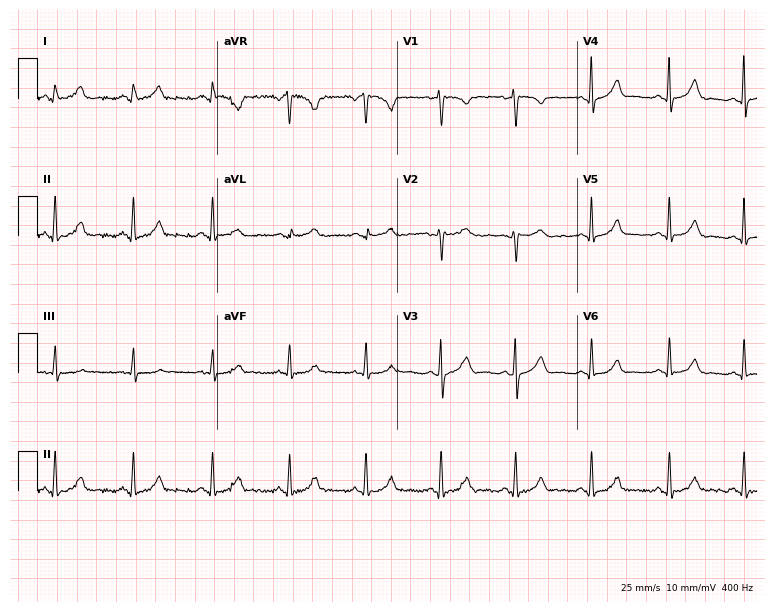
Standard 12-lead ECG recorded from a woman, 35 years old (7.3-second recording at 400 Hz). Read as a normal ECG.